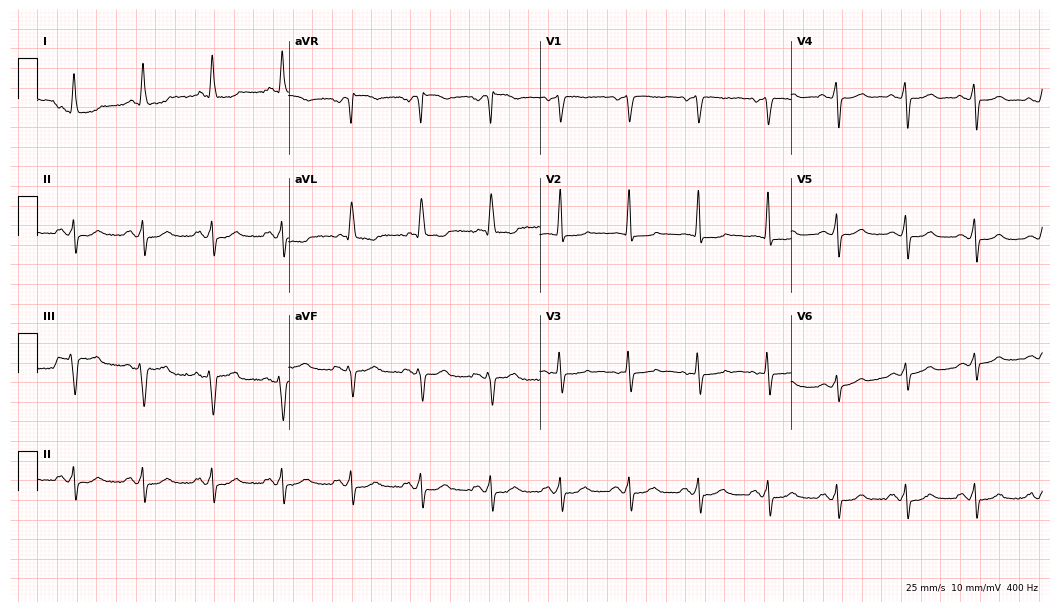
12-lead ECG from a woman, 67 years old. Screened for six findings — first-degree AV block, right bundle branch block (RBBB), left bundle branch block (LBBB), sinus bradycardia, atrial fibrillation (AF), sinus tachycardia — none is recorded. Findings outside these six are not listed.